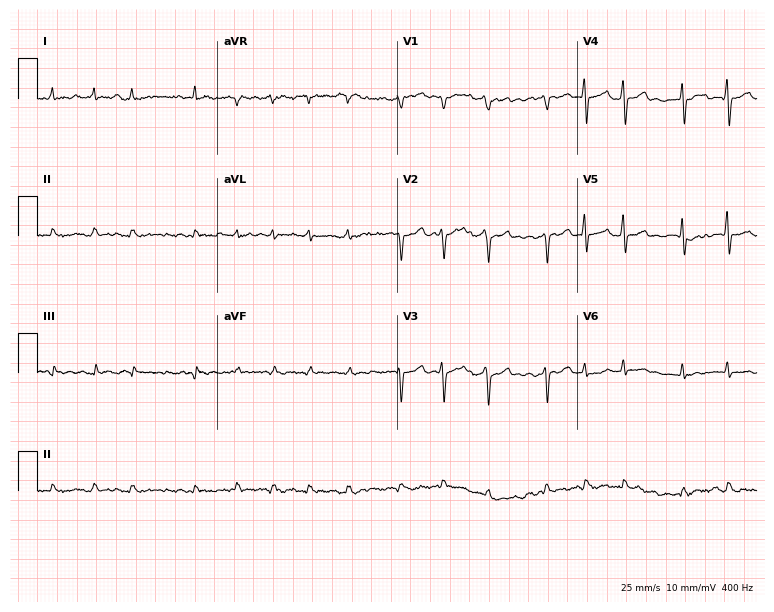
12-lead ECG from a male patient, 57 years old (7.3-second recording at 400 Hz). Shows atrial fibrillation (AF).